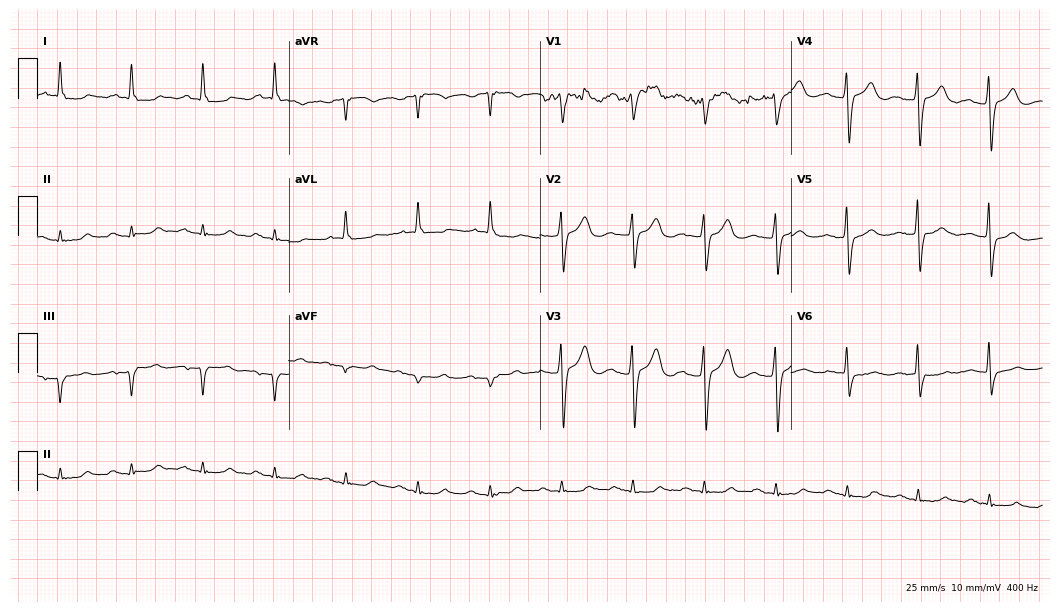
12-lead ECG (10.2-second recording at 400 Hz) from a male, 67 years old. Screened for six findings — first-degree AV block, right bundle branch block, left bundle branch block, sinus bradycardia, atrial fibrillation, sinus tachycardia — none is recorded.